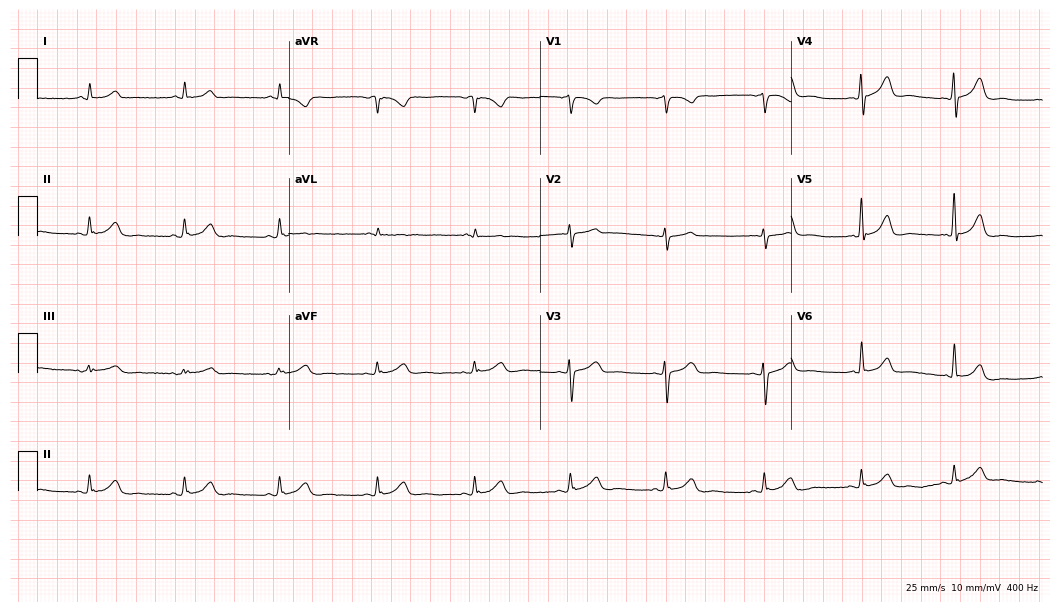
ECG (10.2-second recording at 400 Hz) — a male patient, 75 years old. Screened for six findings — first-degree AV block, right bundle branch block, left bundle branch block, sinus bradycardia, atrial fibrillation, sinus tachycardia — none is recorded. Findings outside these six are not listed.